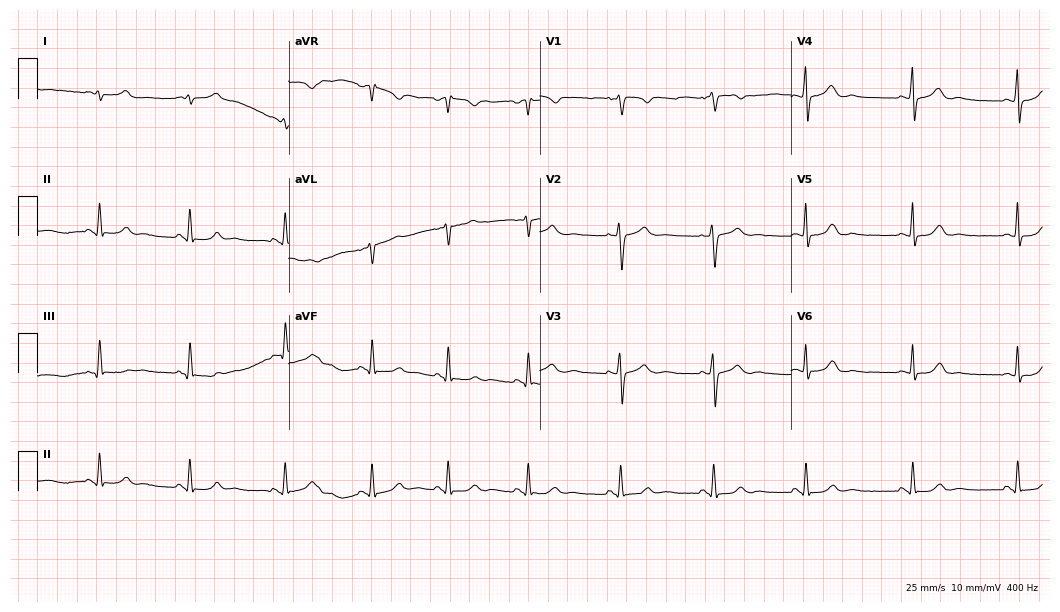
Electrocardiogram, a 28-year-old female. Overall reading on record: normal ECG.